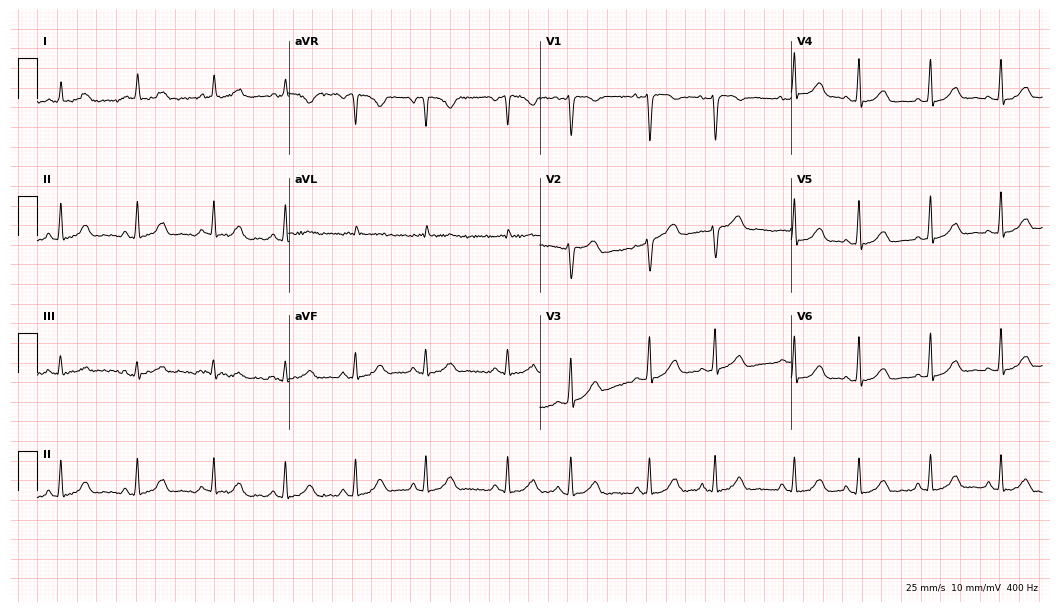
ECG (10.2-second recording at 400 Hz) — a 43-year-old female. Screened for six findings — first-degree AV block, right bundle branch block, left bundle branch block, sinus bradycardia, atrial fibrillation, sinus tachycardia — none is recorded. Other findings, if any, are not listed.